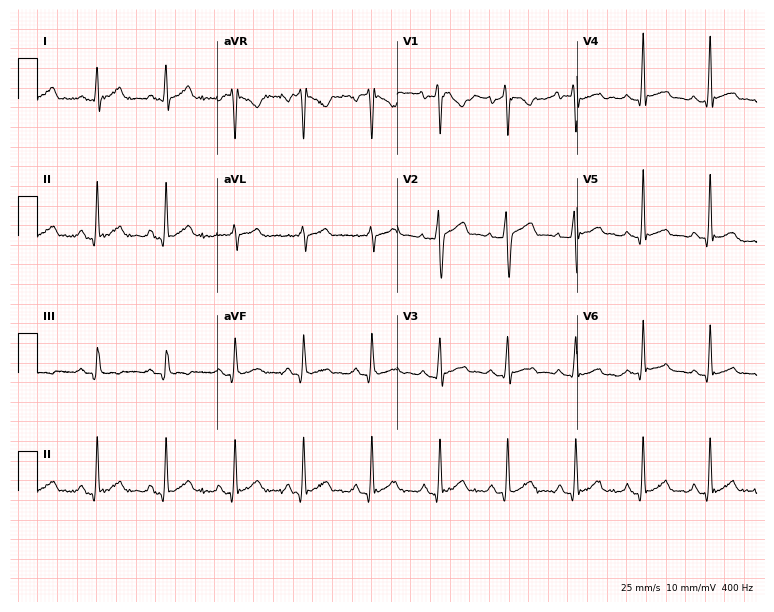
12-lead ECG from a male, 35 years old (7.3-second recording at 400 Hz). Recorded interpretation: within normal limits.